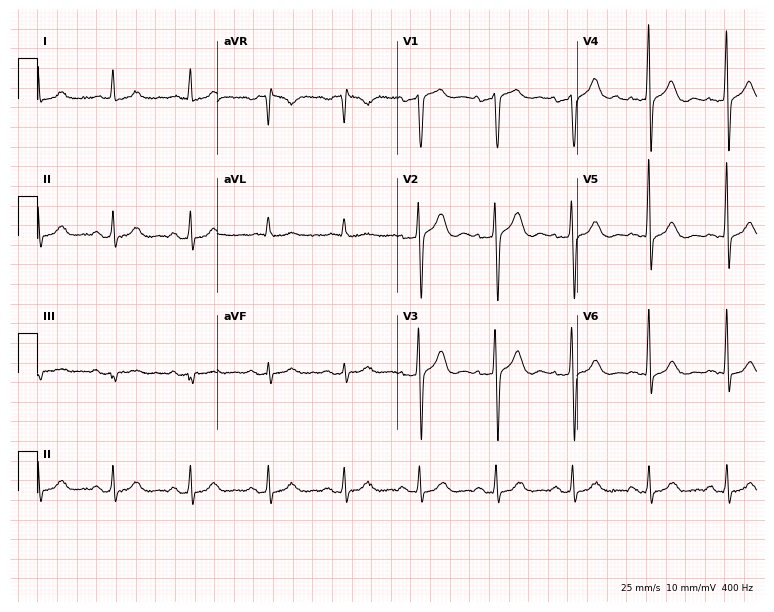
12-lead ECG from a man, 60 years old. Screened for six findings — first-degree AV block, right bundle branch block, left bundle branch block, sinus bradycardia, atrial fibrillation, sinus tachycardia — none is recorded.